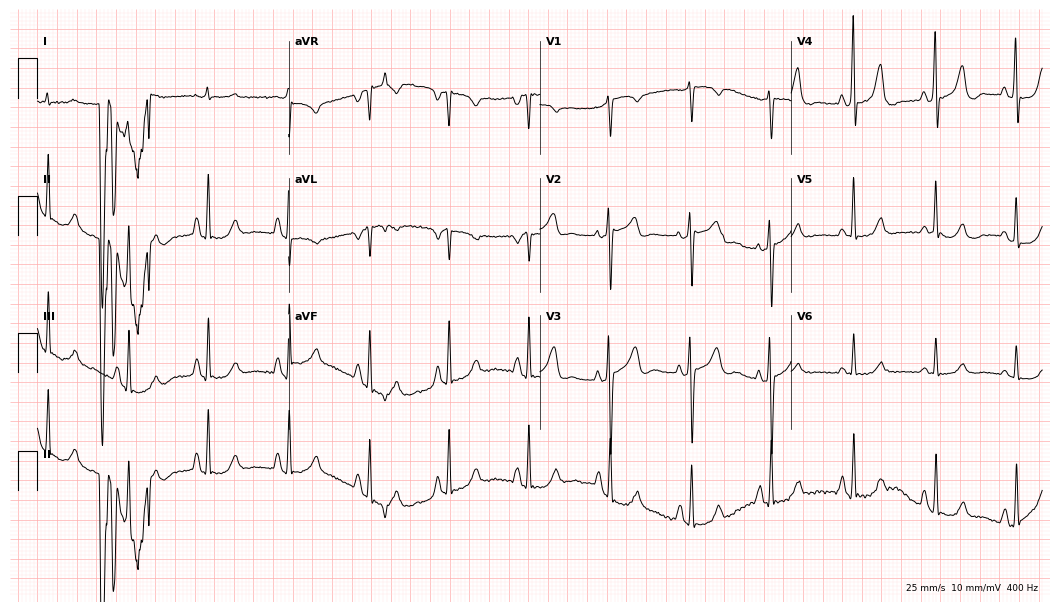
Resting 12-lead electrocardiogram. Patient: a 72-year-old male. None of these six findings is recorded: first-degree AV block, right bundle branch block (RBBB), left bundle branch block (LBBB), sinus bradycardia, atrial fibrillation (AF), sinus tachycardia. Other findings, if any, are not listed.